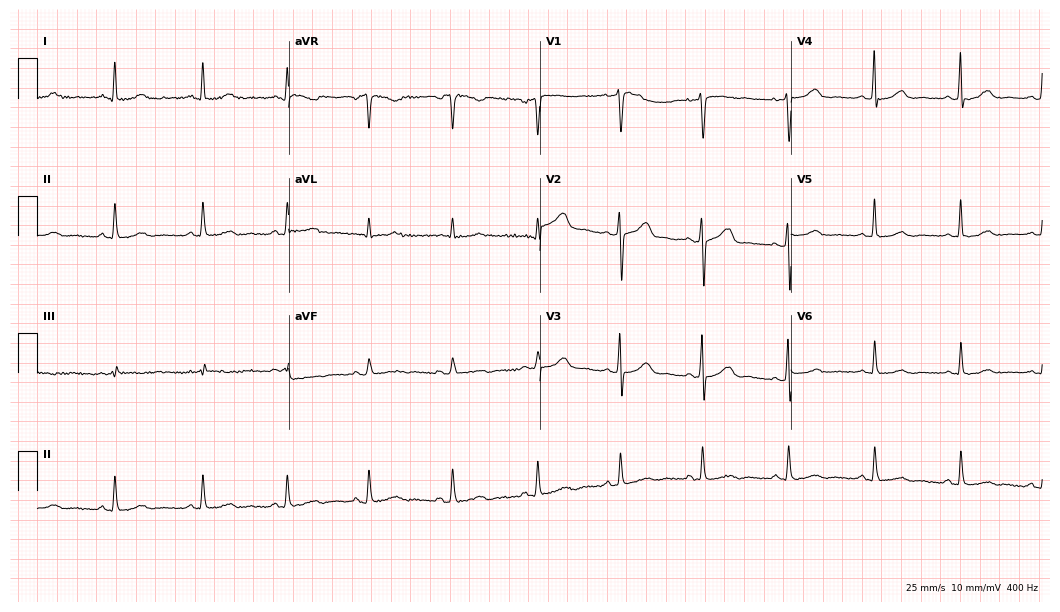
12-lead ECG from a 40-year-old female. Recorded interpretation: within normal limits.